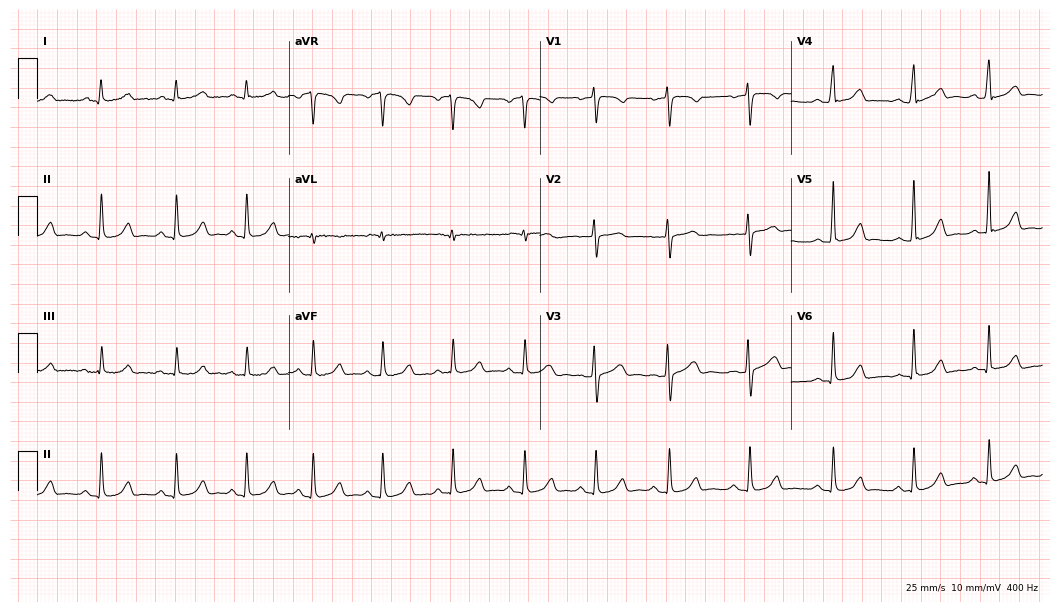
12-lead ECG from a female patient, 29 years old (10.2-second recording at 400 Hz). Recorded interpretation: within normal limits.